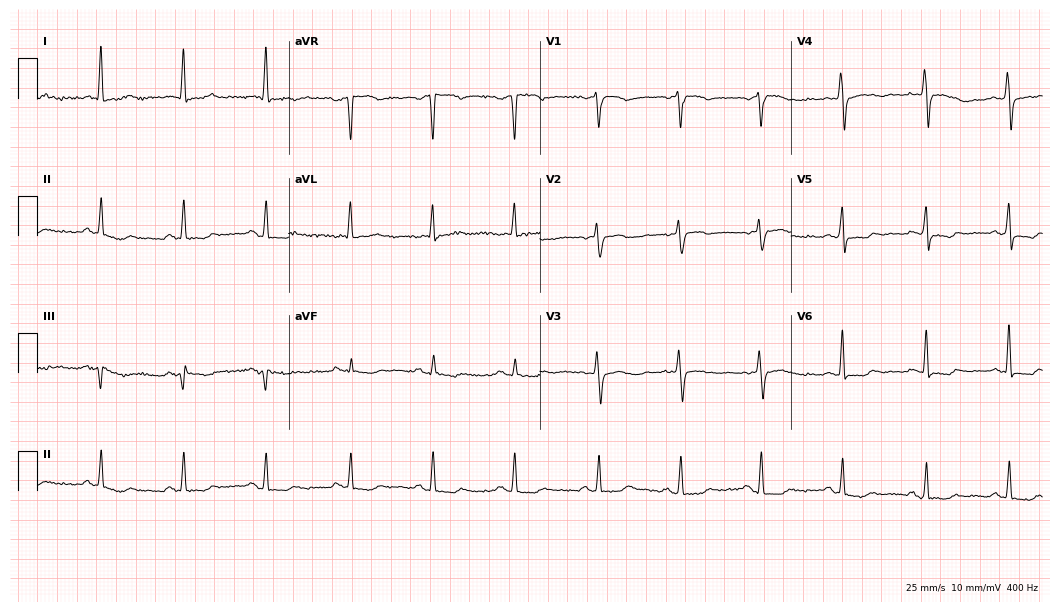
Standard 12-lead ECG recorded from a woman, 64 years old. None of these six findings is recorded: first-degree AV block, right bundle branch block, left bundle branch block, sinus bradycardia, atrial fibrillation, sinus tachycardia. Only these six findings were labelled.